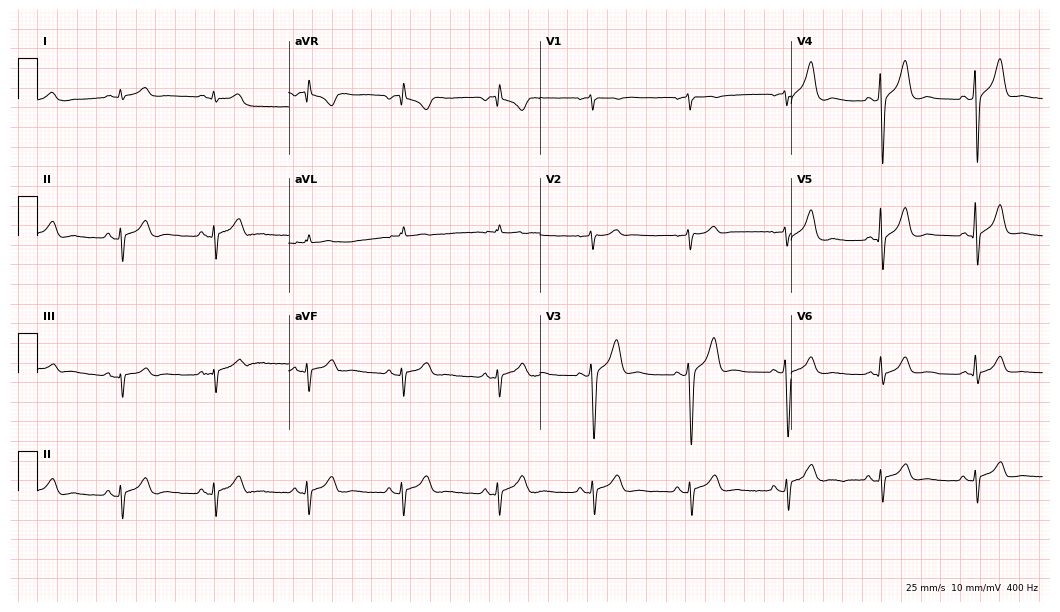
12-lead ECG (10.2-second recording at 400 Hz) from a man, 52 years old. Screened for six findings — first-degree AV block, right bundle branch block, left bundle branch block, sinus bradycardia, atrial fibrillation, sinus tachycardia — none is recorded.